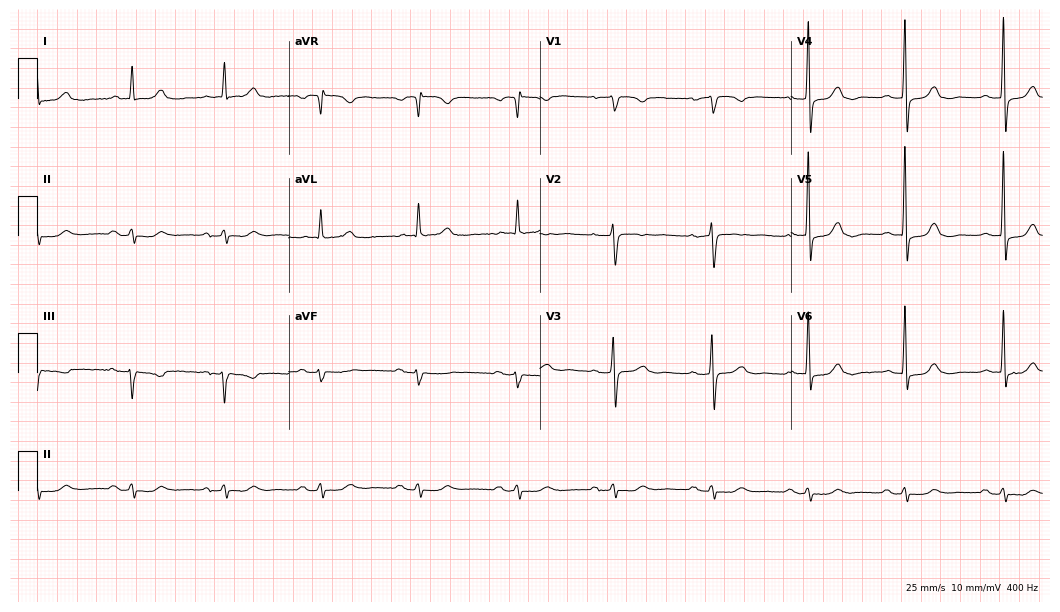
12-lead ECG from a female, 77 years old. Recorded interpretation: within normal limits.